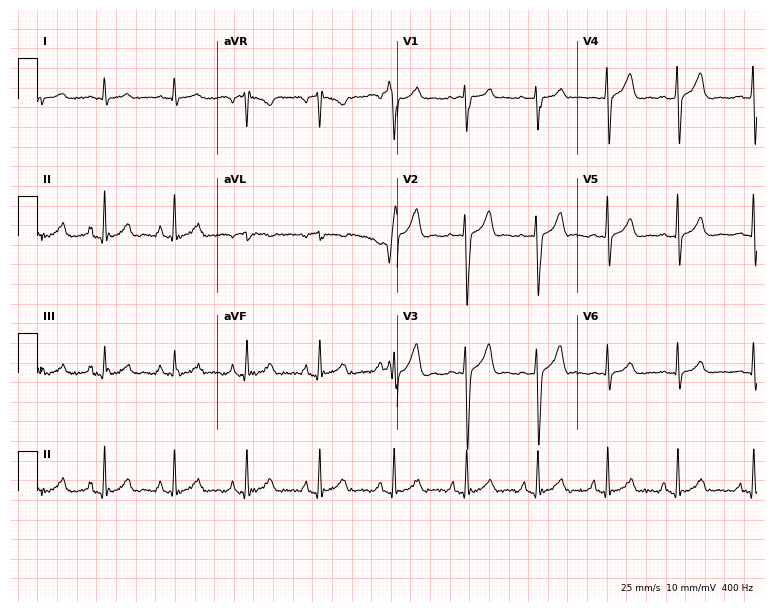
12-lead ECG from a 35-year-old male patient (7.3-second recording at 400 Hz). Recorded interpretation: within normal limits.